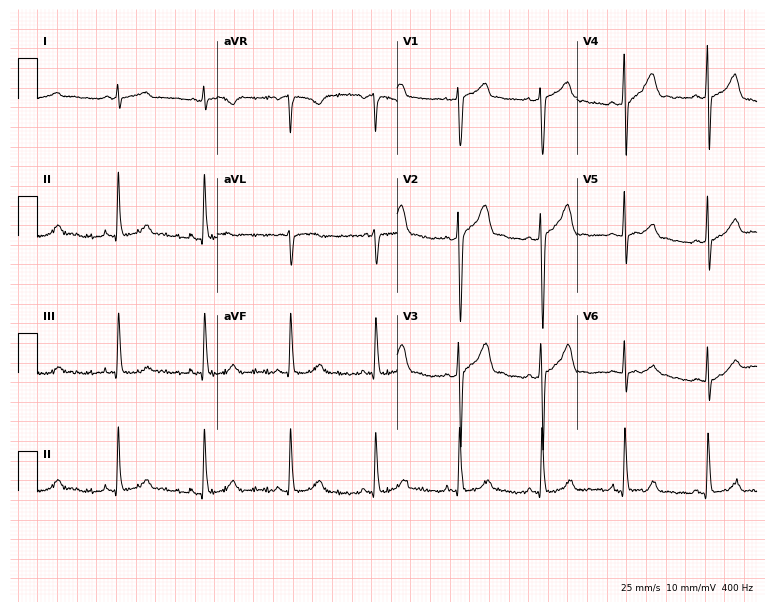
12-lead ECG from a 53-year-old male. No first-degree AV block, right bundle branch block, left bundle branch block, sinus bradycardia, atrial fibrillation or sinus tachycardia recorded for this tracing.